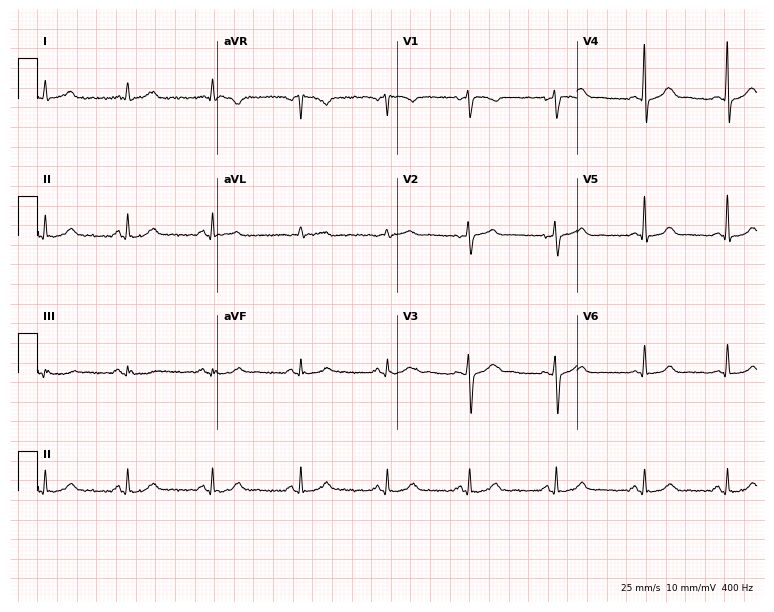
Resting 12-lead electrocardiogram. Patient: a woman, 39 years old. Read as a normal ECG.